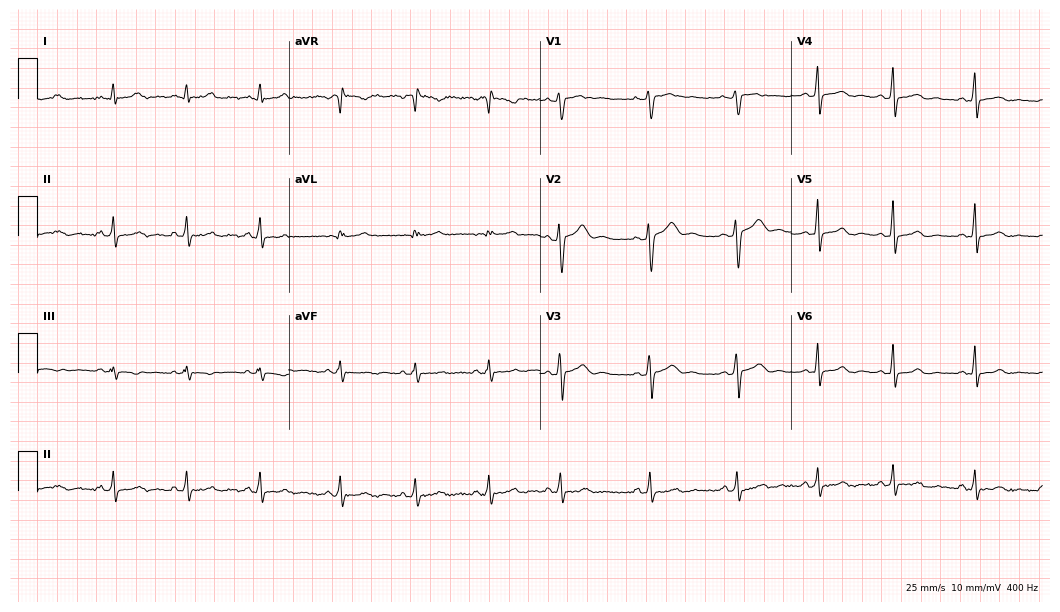
Standard 12-lead ECG recorded from a 30-year-old woman. Read as a normal ECG.